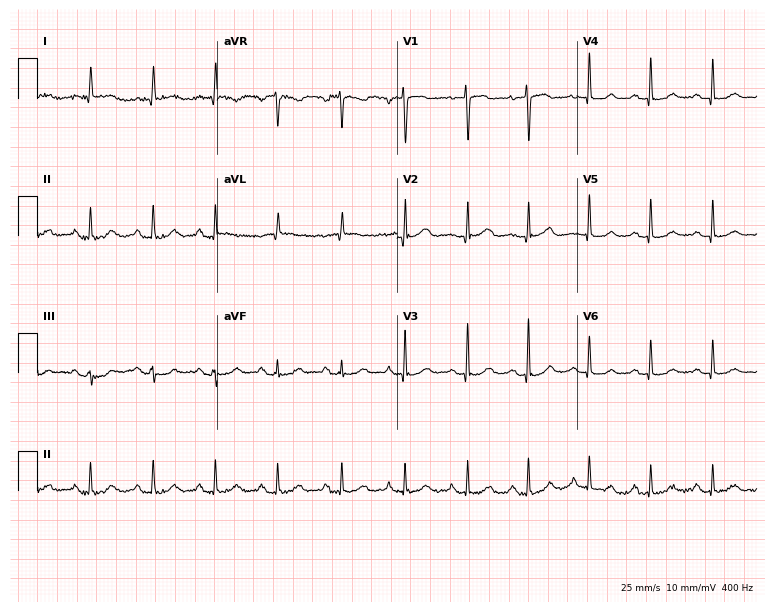
Standard 12-lead ECG recorded from a 75-year-old female (7.3-second recording at 400 Hz). Read as a normal ECG.